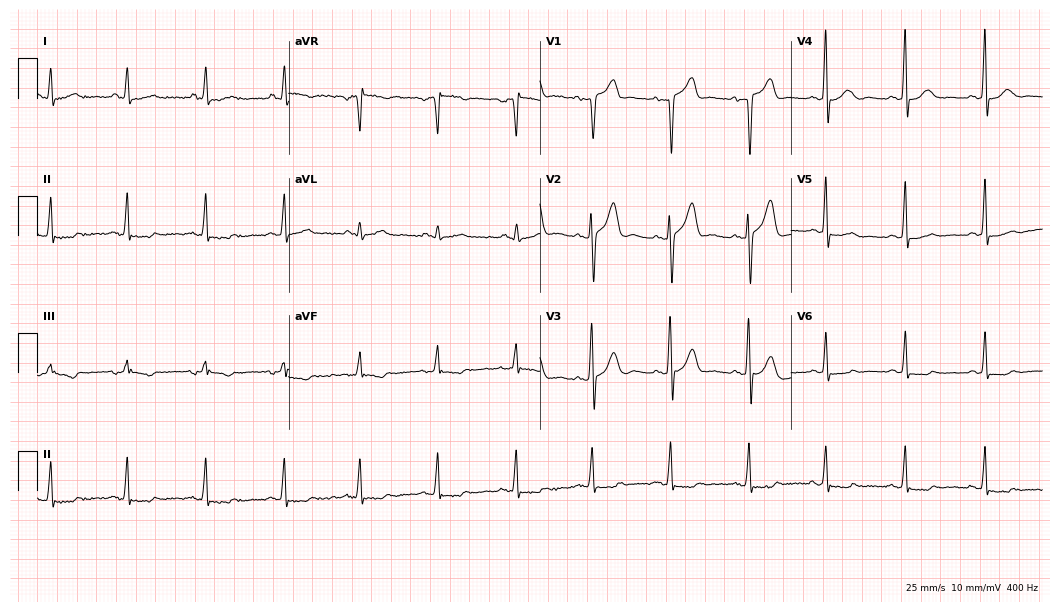
Standard 12-lead ECG recorded from a 56-year-old man (10.2-second recording at 400 Hz). None of these six findings is recorded: first-degree AV block, right bundle branch block (RBBB), left bundle branch block (LBBB), sinus bradycardia, atrial fibrillation (AF), sinus tachycardia.